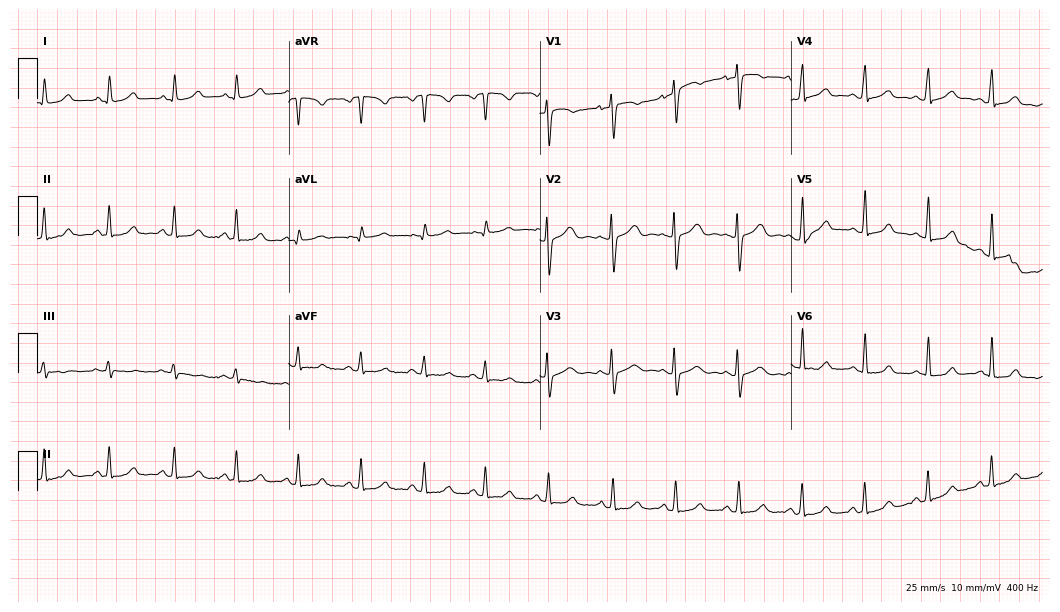
Standard 12-lead ECG recorded from a female patient, 33 years old. Read as a normal ECG.